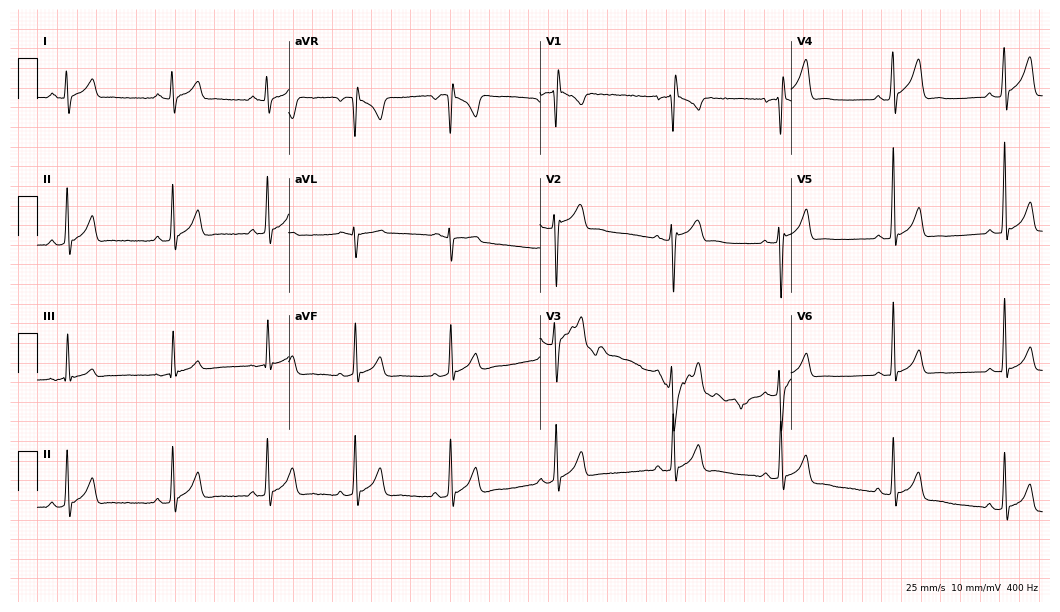
ECG (10.2-second recording at 400 Hz) — a 22-year-old man. Labelled as a normal ECG.